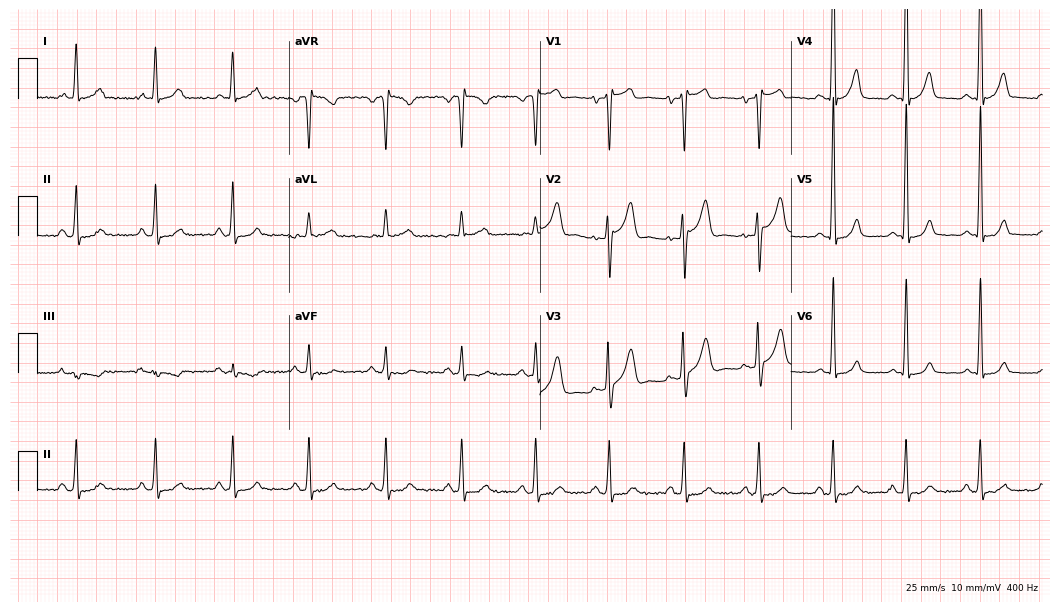
Electrocardiogram (10.2-second recording at 400 Hz), a man, 48 years old. Overall reading on record: normal ECG.